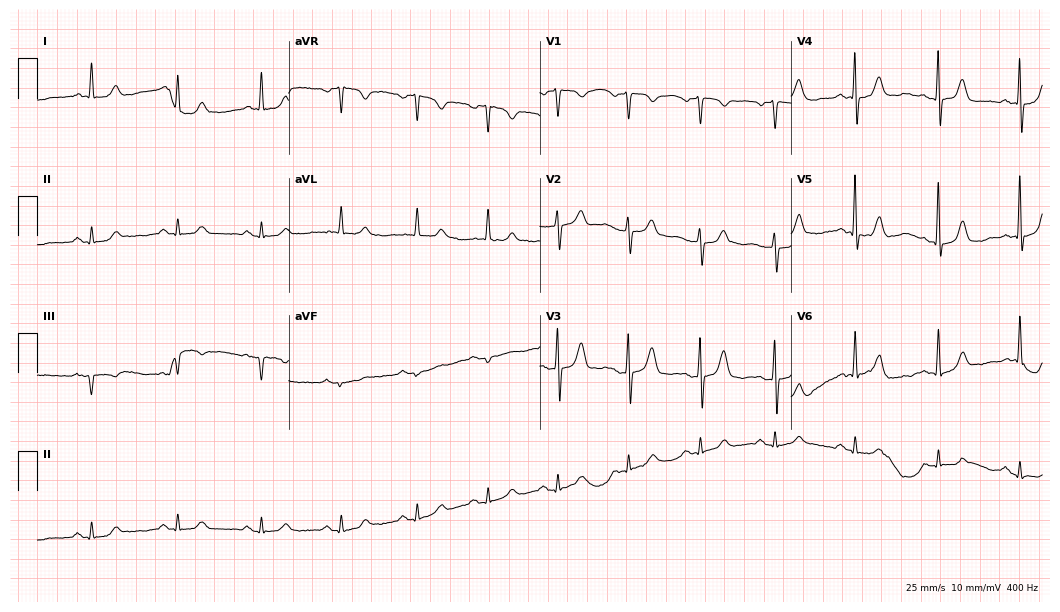
ECG — a man, 74 years old. Labelled as a normal ECG.